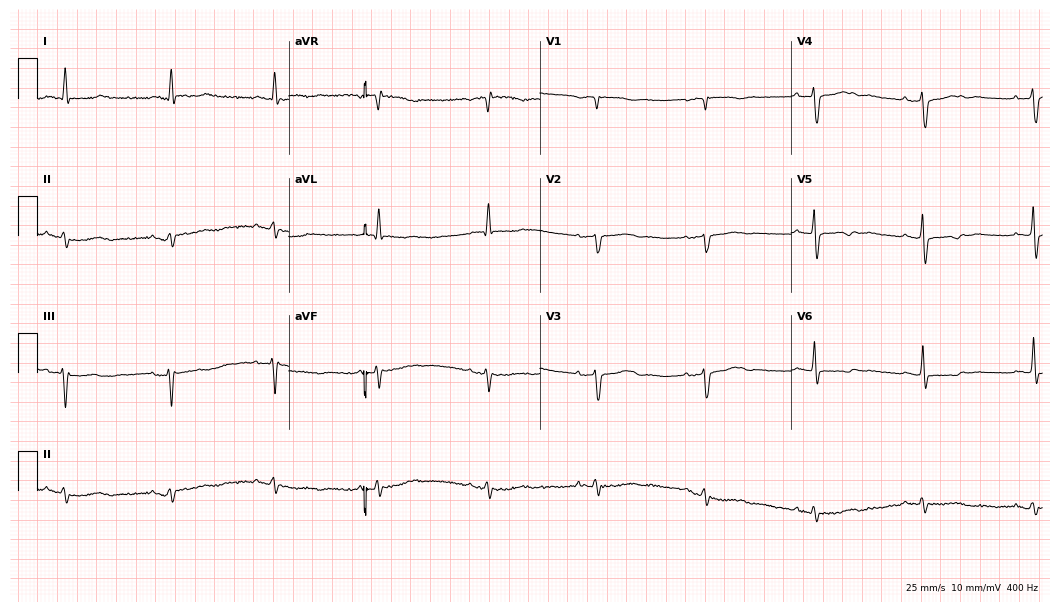
Electrocardiogram (10.2-second recording at 400 Hz), a female, 85 years old. Of the six screened findings (first-degree AV block, right bundle branch block (RBBB), left bundle branch block (LBBB), sinus bradycardia, atrial fibrillation (AF), sinus tachycardia), none is recorded.